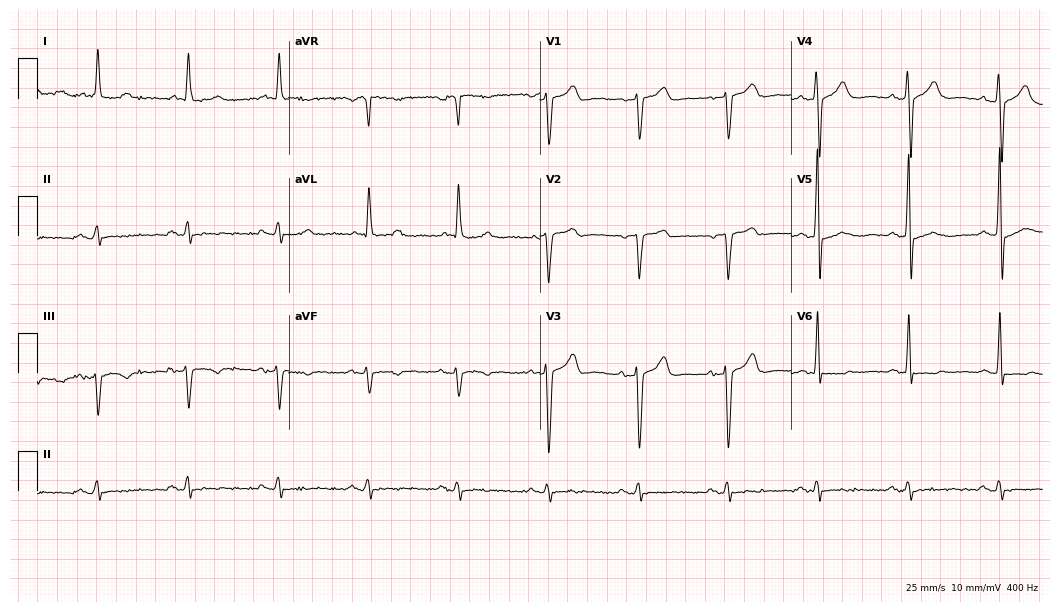
Standard 12-lead ECG recorded from an 80-year-old male. None of these six findings is recorded: first-degree AV block, right bundle branch block, left bundle branch block, sinus bradycardia, atrial fibrillation, sinus tachycardia.